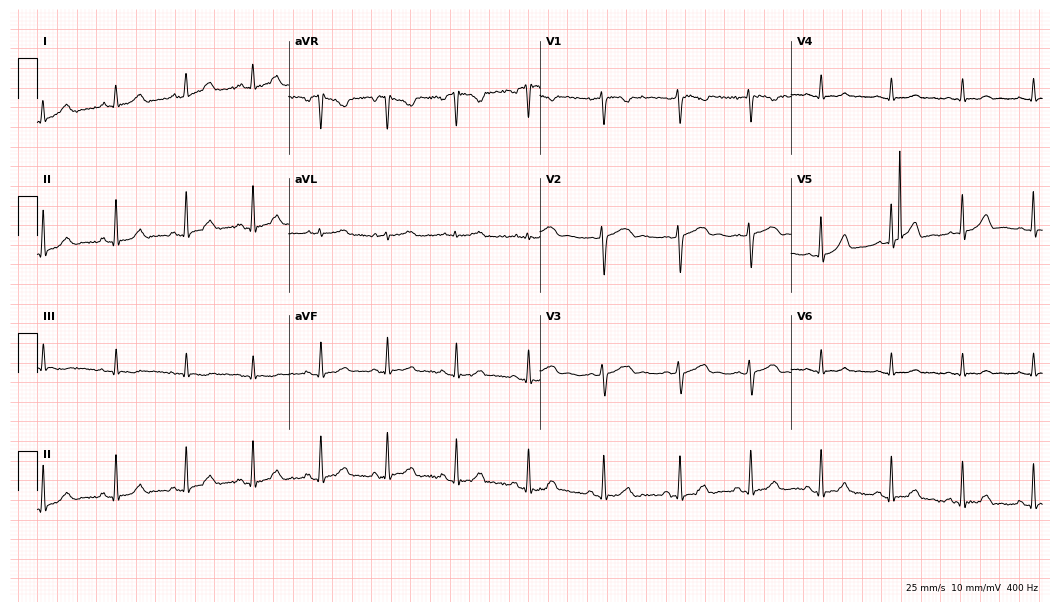
Standard 12-lead ECG recorded from a 25-year-old female patient. Read as a normal ECG.